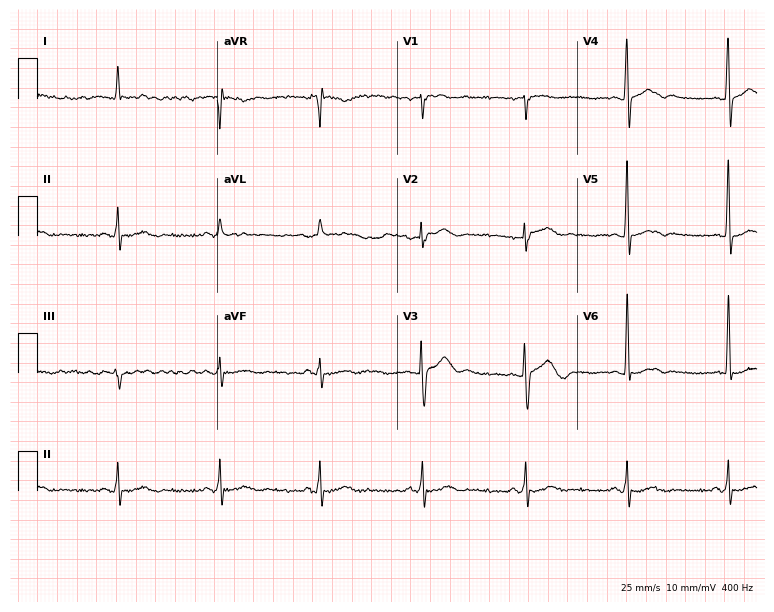
12-lead ECG from a 49-year-old man (7.3-second recording at 400 Hz). Recorded interpretation: within normal limits.